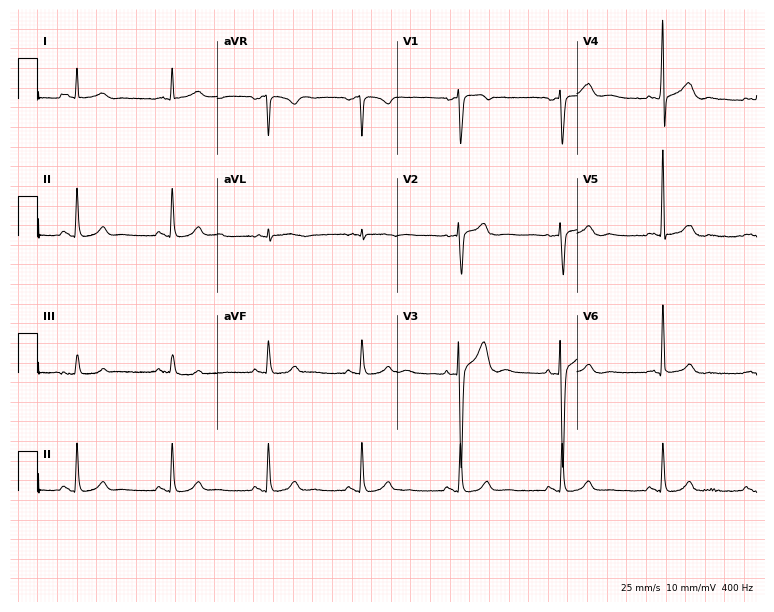
Electrocardiogram, a 53-year-old man. Overall reading on record: normal ECG.